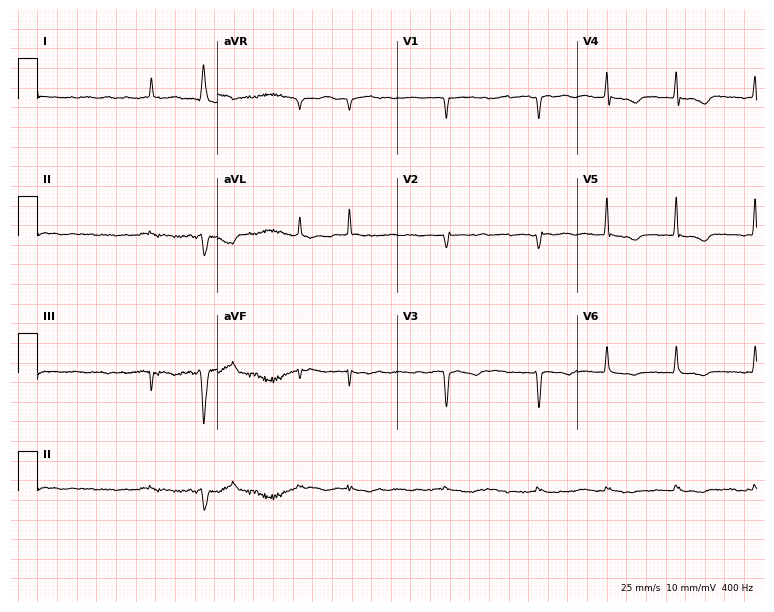
Standard 12-lead ECG recorded from a female patient, 83 years old. The tracing shows atrial fibrillation.